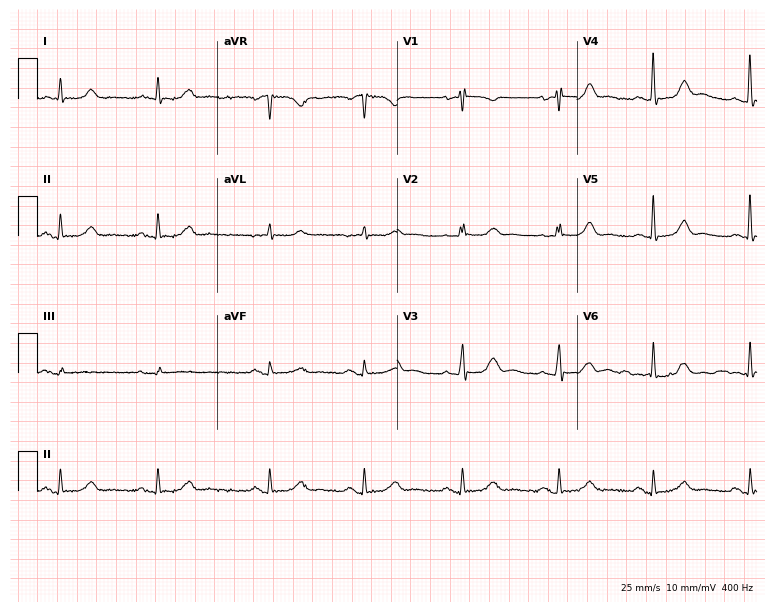
ECG (7.3-second recording at 400 Hz) — a female patient, 77 years old. Screened for six findings — first-degree AV block, right bundle branch block, left bundle branch block, sinus bradycardia, atrial fibrillation, sinus tachycardia — none is recorded.